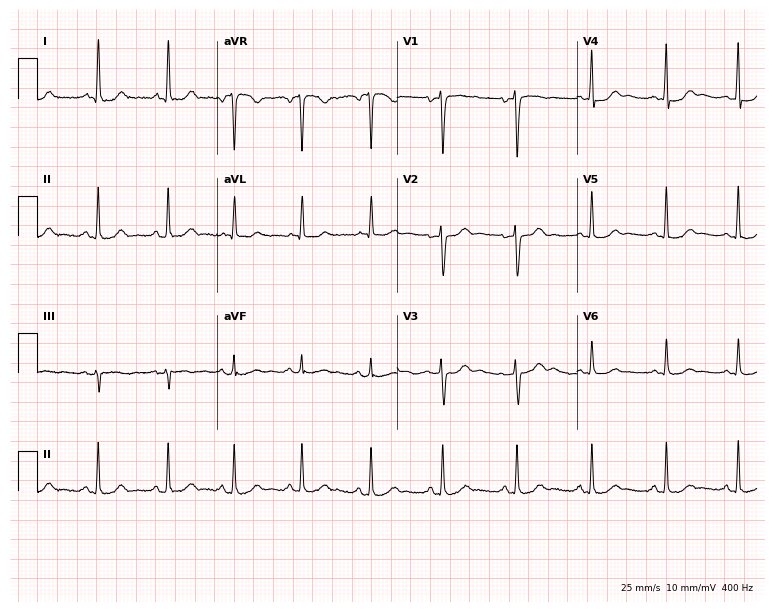
Standard 12-lead ECG recorded from a 44-year-old female (7.3-second recording at 400 Hz). Read as a normal ECG.